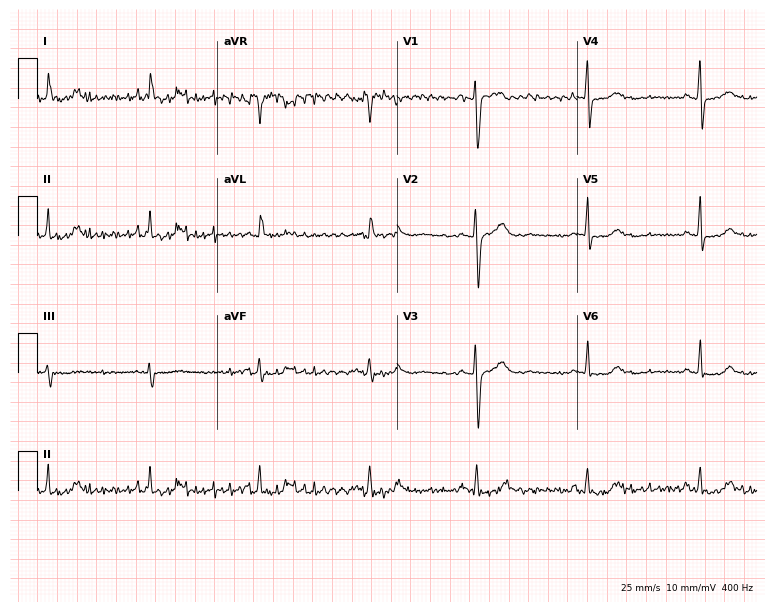
Standard 12-lead ECG recorded from a 39-year-old woman. None of these six findings is recorded: first-degree AV block, right bundle branch block, left bundle branch block, sinus bradycardia, atrial fibrillation, sinus tachycardia.